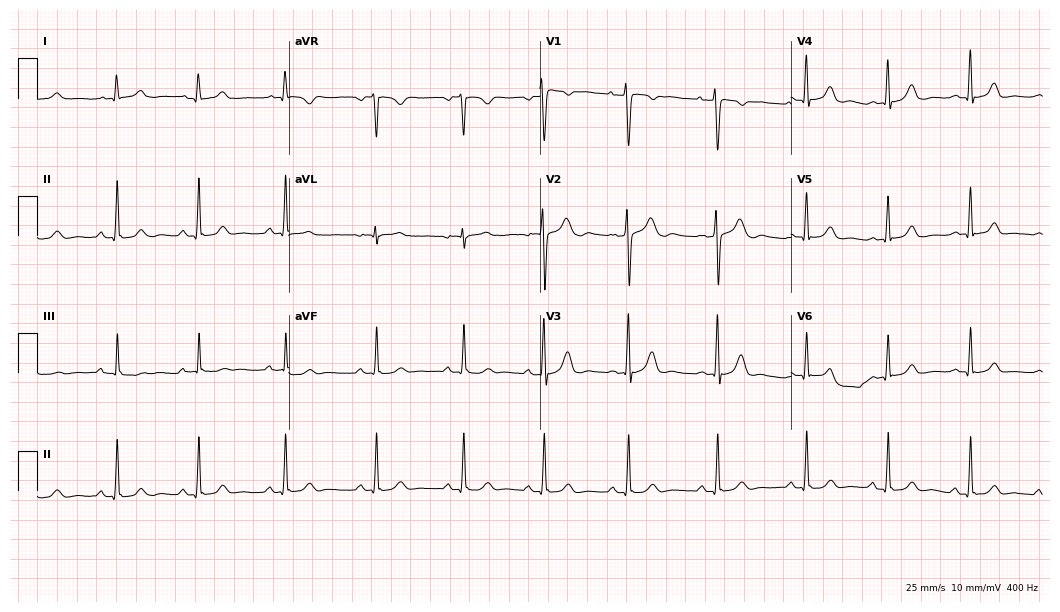
12-lead ECG (10.2-second recording at 400 Hz) from a 19-year-old female. Labelled as a normal ECG.